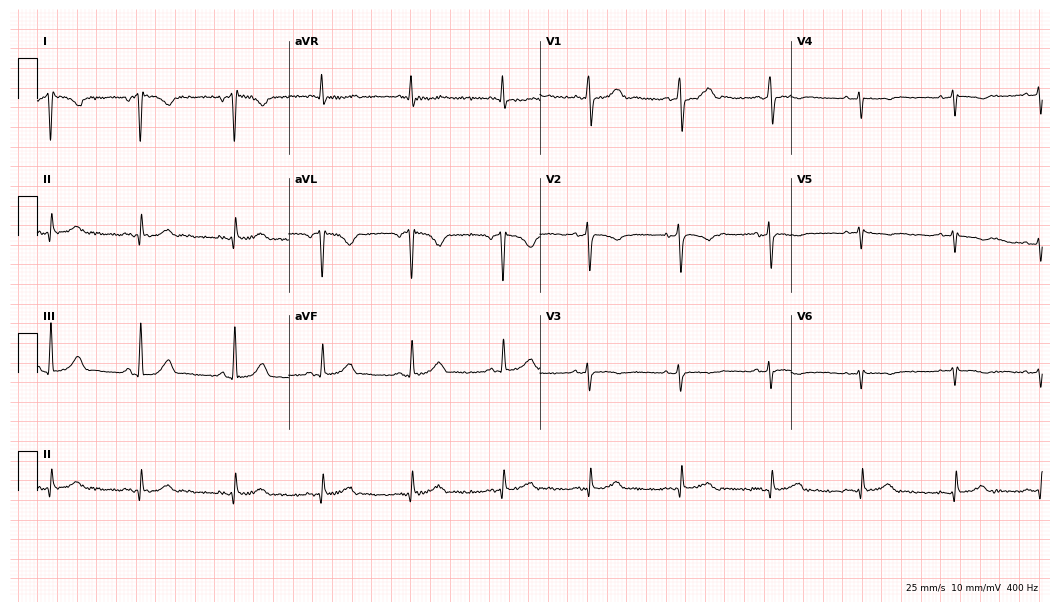
ECG (10.2-second recording at 400 Hz) — a 34-year-old woman. Screened for six findings — first-degree AV block, right bundle branch block (RBBB), left bundle branch block (LBBB), sinus bradycardia, atrial fibrillation (AF), sinus tachycardia — none is recorded.